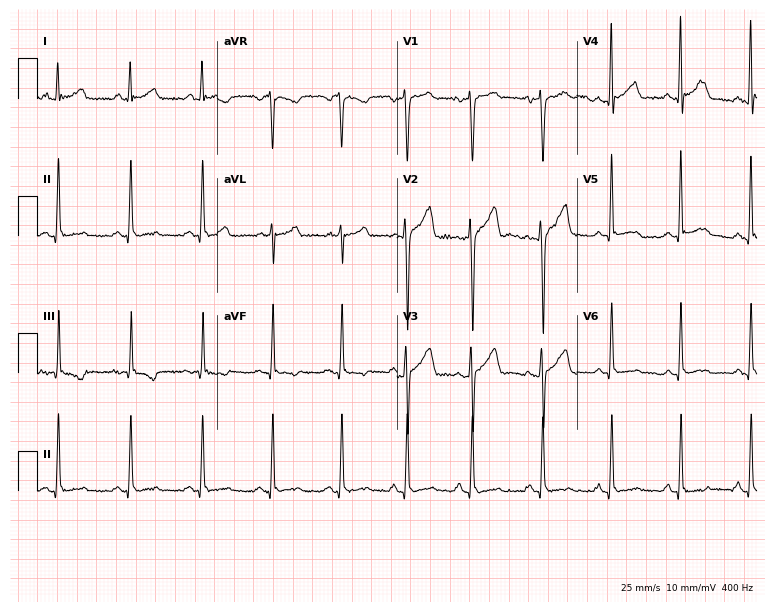
Electrocardiogram, a man, 38 years old. Of the six screened findings (first-degree AV block, right bundle branch block, left bundle branch block, sinus bradycardia, atrial fibrillation, sinus tachycardia), none is recorded.